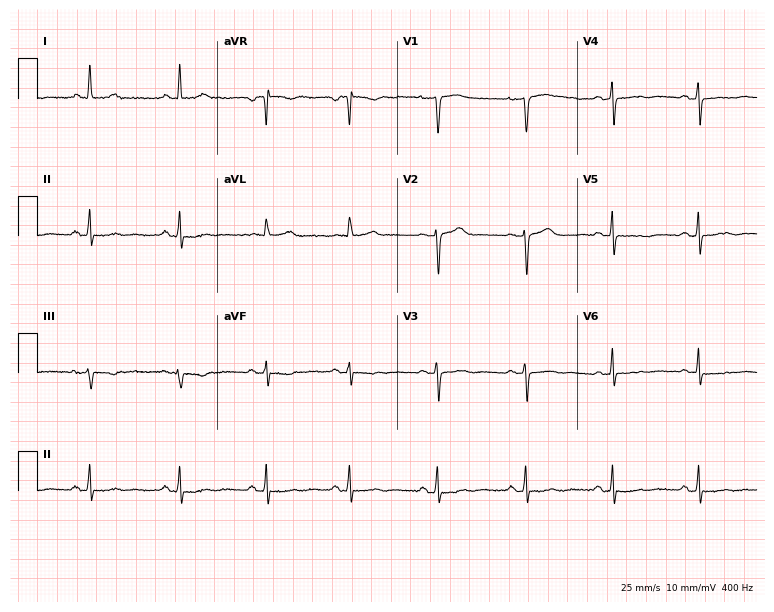
12-lead ECG from a 49-year-old woman (7.3-second recording at 400 Hz). No first-degree AV block, right bundle branch block (RBBB), left bundle branch block (LBBB), sinus bradycardia, atrial fibrillation (AF) or sinus tachycardia recorded for this tracing.